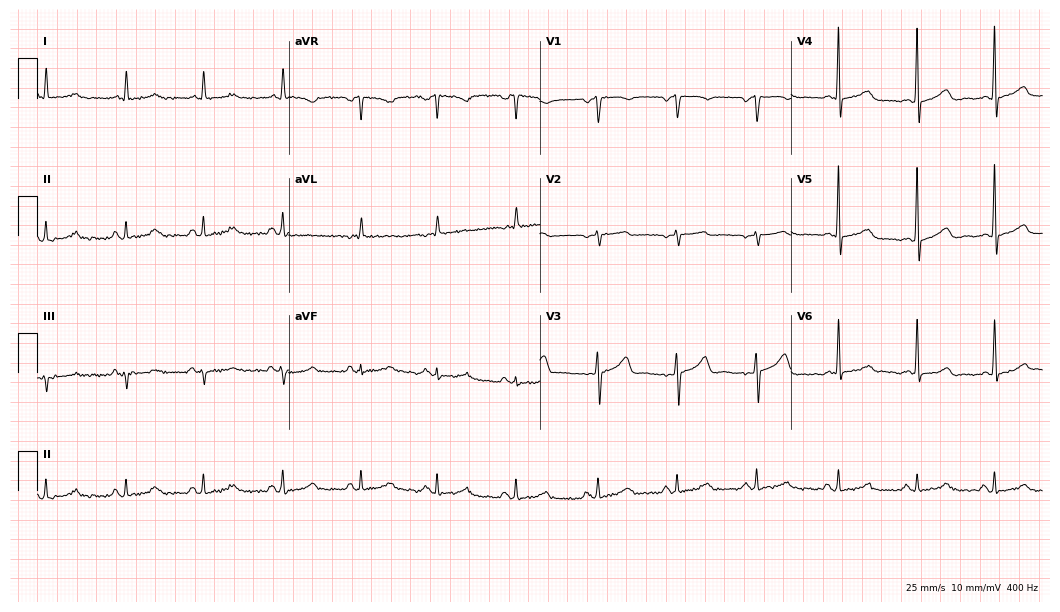
Standard 12-lead ECG recorded from a female patient, 49 years old (10.2-second recording at 400 Hz). None of these six findings is recorded: first-degree AV block, right bundle branch block (RBBB), left bundle branch block (LBBB), sinus bradycardia, atrial fibrillation (AF), sinus tachycardia. Other findings, if any, are not listed.